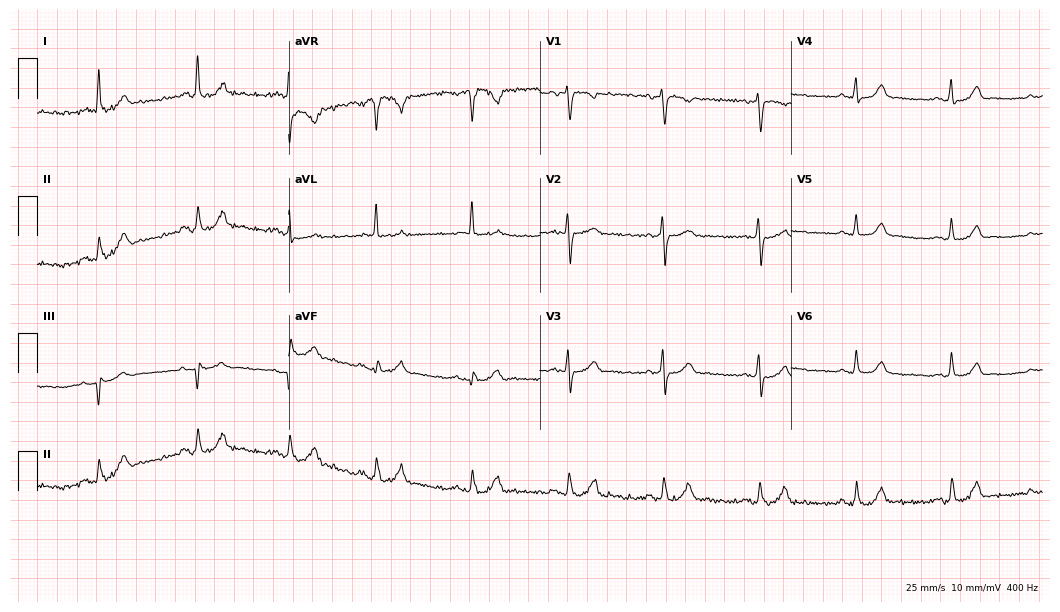
Standard 12-lead ECG recorded from a female patient, 64 years old (10.2-second recording at 400 Hz). Read as a normal ECG.